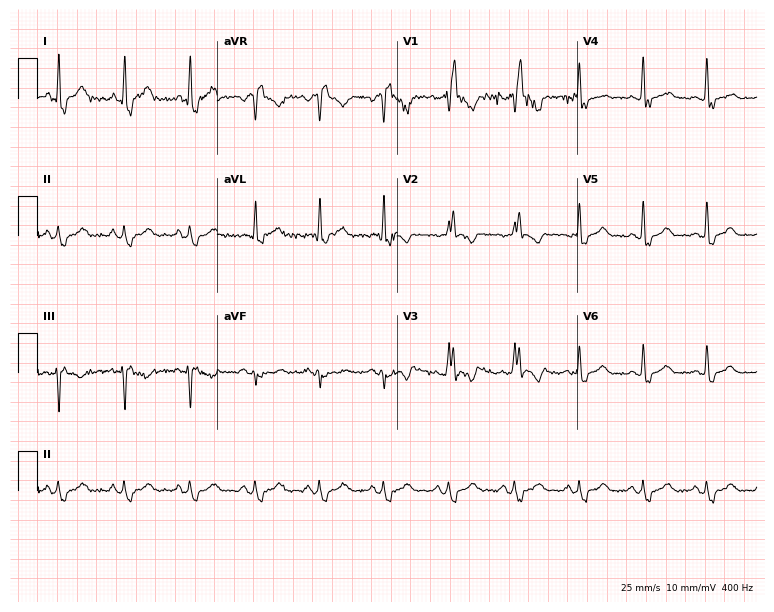
Standard 12-lead ECG recorded from a 59-year-old male patient. None of these six findings is recorded: first-degree AV block, right bundle branch block (RBBB), left bundle branch block (LBBB), sinus bradycardia, atrial fibrillation (AF), sinus tachycardia. Other findings, if any, are not listed.